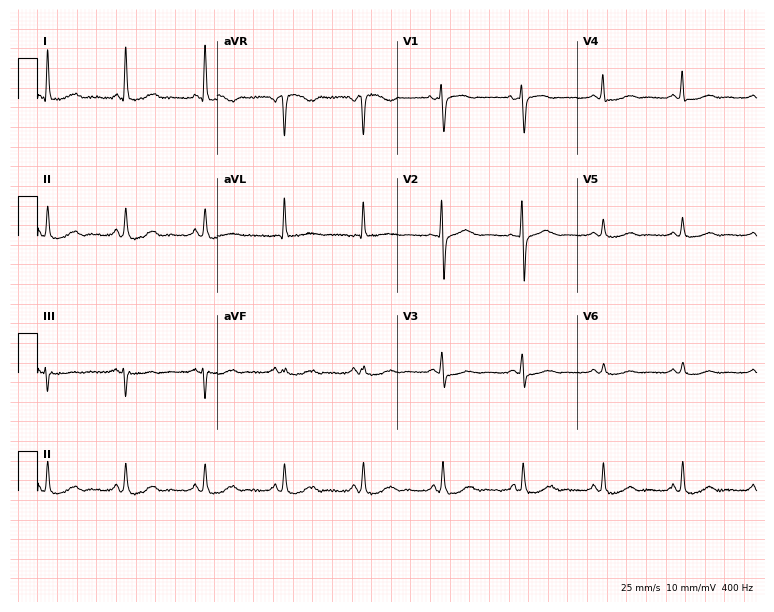
ECG (7.3-second recording at 400 Hz) — a 52-year-old woman. Labelled as a normal ECG.